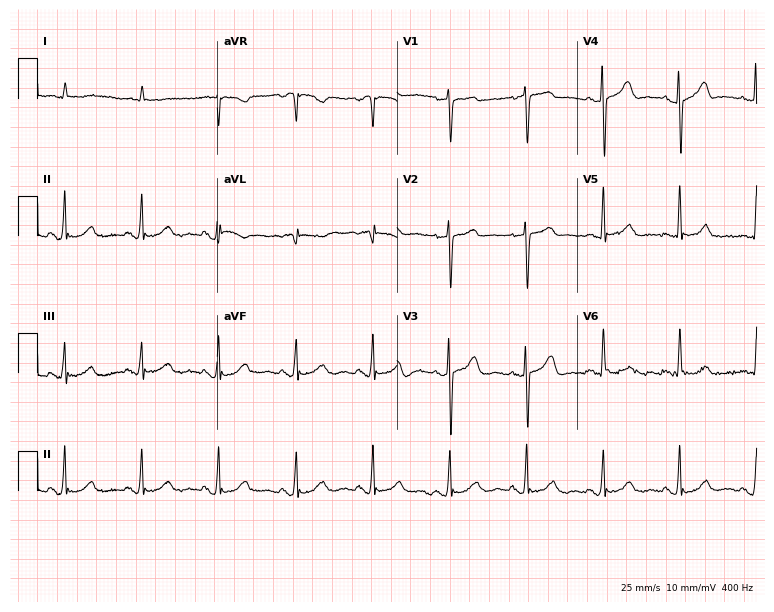
ECG — an 82-year-old man. Screened for six findings — first-degree AV block, right bundle branch block (RBBB), left bundle branch block (LBBB), sinus bradycardia, atrial fibrillation (AF), sinus tachycardia — none is recorded. Only these six findings were labelled.